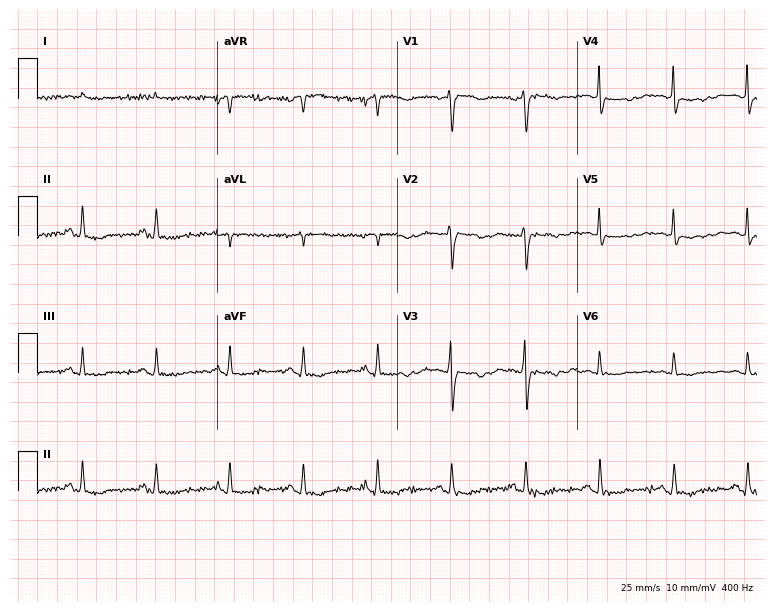
12-lead ECG from a female, 69 years old. Screened for six findings — first-degree AV block, right bundle branch block, left bundle branch block, sinus bradycardia, atrial fibrillation, sinus tachycardia — none is recorded. Other findings, if any, are not listed.